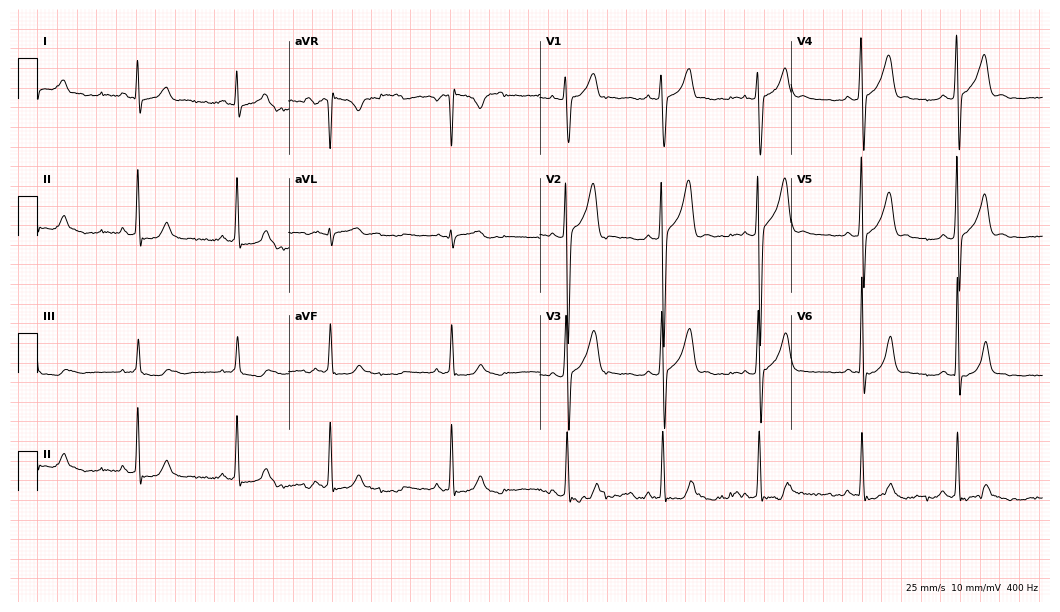
Electrocardiogram (10.2-second recording at 400 Hz), a male patient, 17 years old. Overall reading on record: normal ECG.